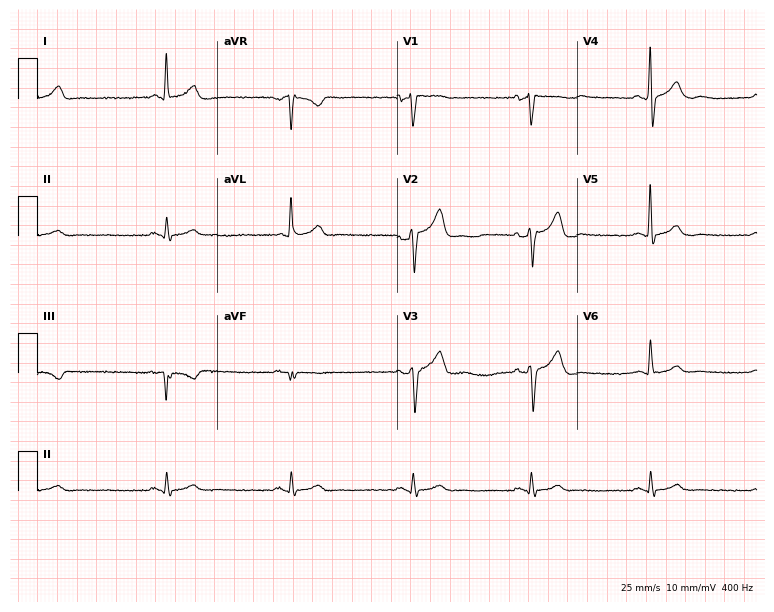
Resting 12-lead electrocardiogram (7.3-second recording at 400 Hz). Patient: a man, 61 years old. None of these six findings is recorded: first-degree AV block, right bundle branch block, left bundle branch block, sinus bradycardia, atrial fibrillation, sinus tachycardia.